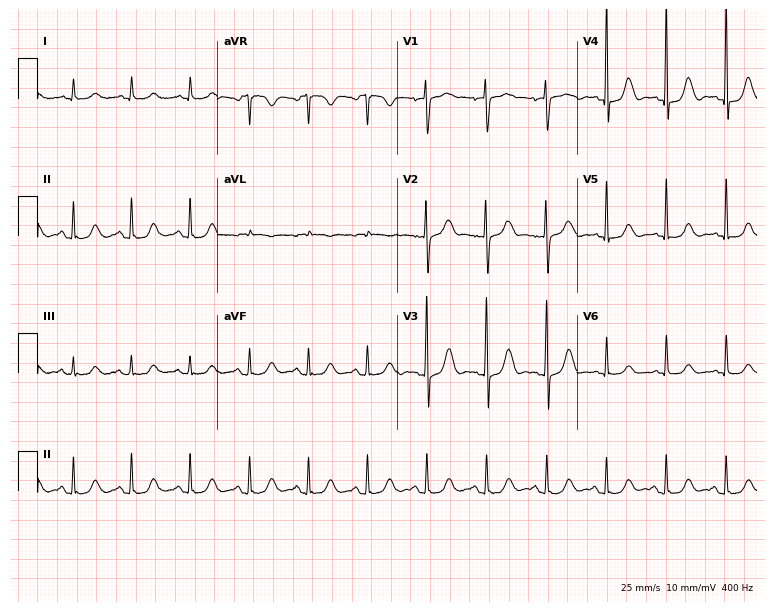
Electrocardiogram (7.3-second recording at 400 Hz), a 56-year-old female. Overall reading on record: normal ECG.